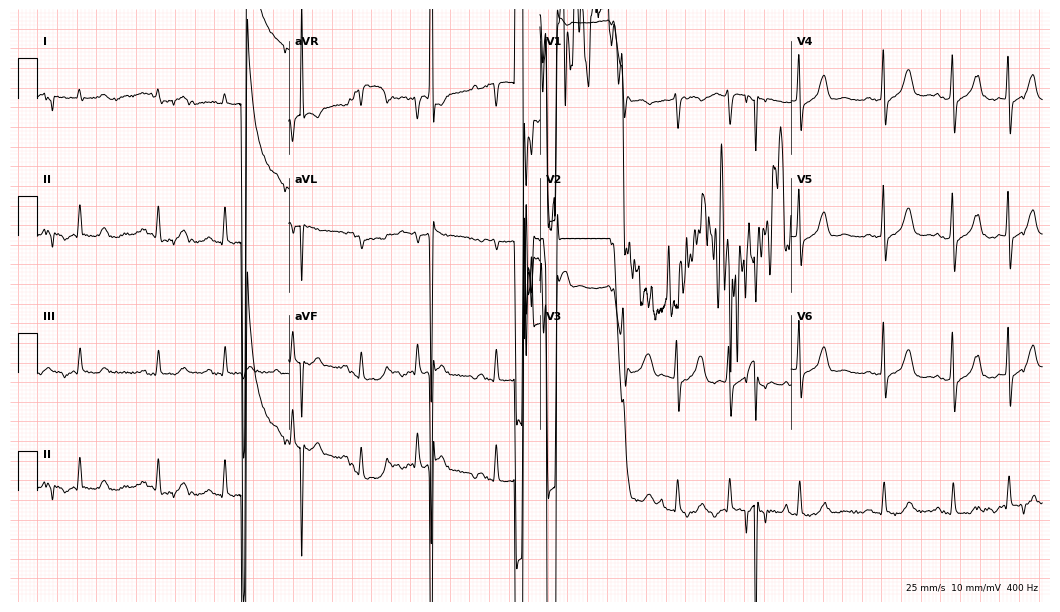
12-lead ECG from a female, 78 years old (10.2-second recording at 400 Hz). No first-degree AV block, right bundle branch block, left bundle branch block, sinus bradycardia, atrial fibrillation or sinus tachycardia recorded for this tracing.